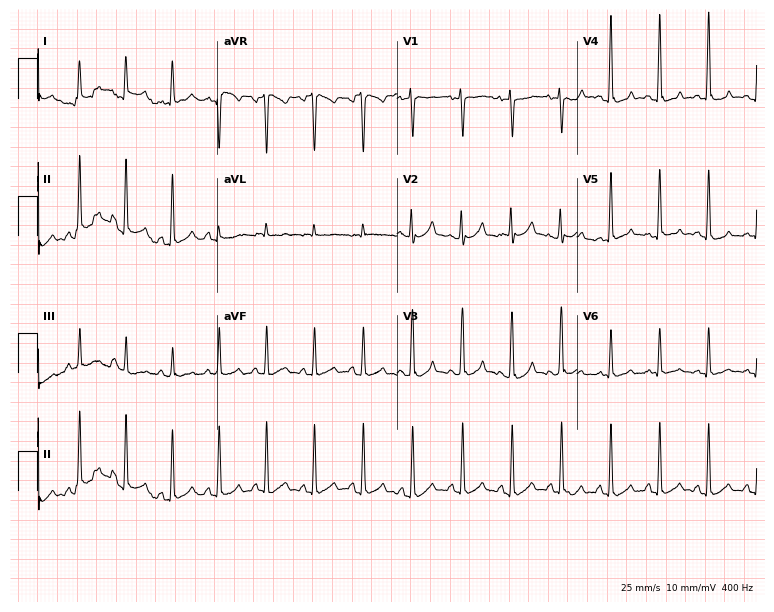
Electrocardiogram, a woman, 21 years old. Interpretation includes sinus tachycardia (a sinus rate of 100 beats per minute or more).